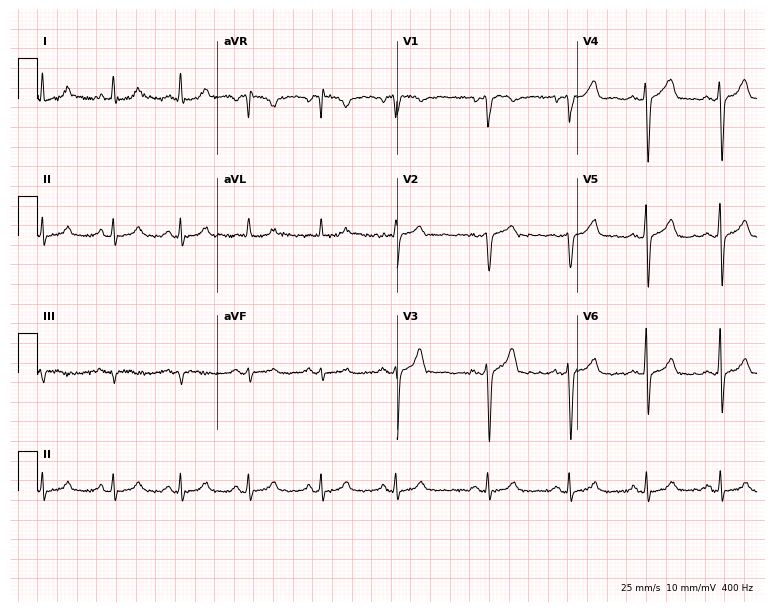
12-lead ECG from a 55-year-old male. Screened for six findings — first-degree AV block, right bundle branch block, left bundle branch block, sinus bradycardia, atrial fibrillation, sinus tachycardia — none is recorded. Findings outside these six are not listed.